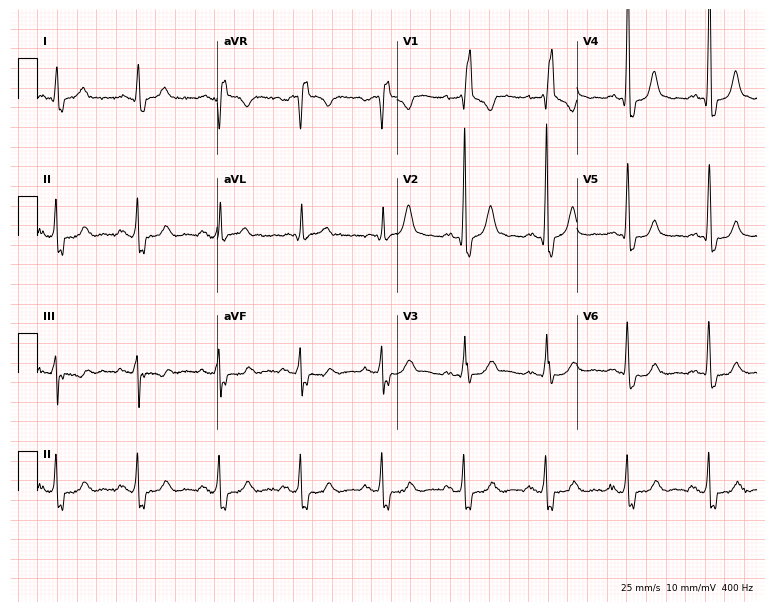
12-lead ECG from a 53-year-old male. Findings include right bundle branch block (RBBB).